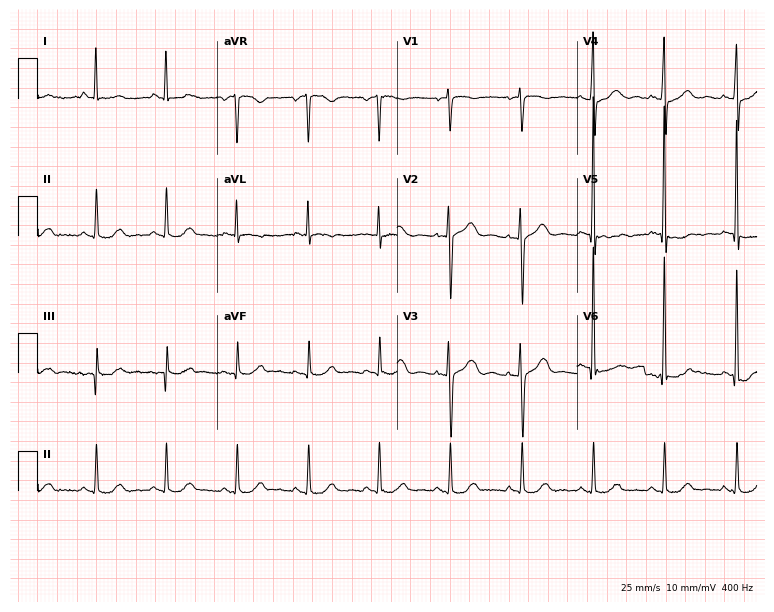
ECG (7.3-second recording at 400 Hz) — a female, 53 years old. Screened for six findings — first-degree AV block, right bundle branch block (RBBB), left bundle branch block (LBBB), sinus bradycardia, atrial fibrillation (AF), sinus tachycardia — none is recorded.